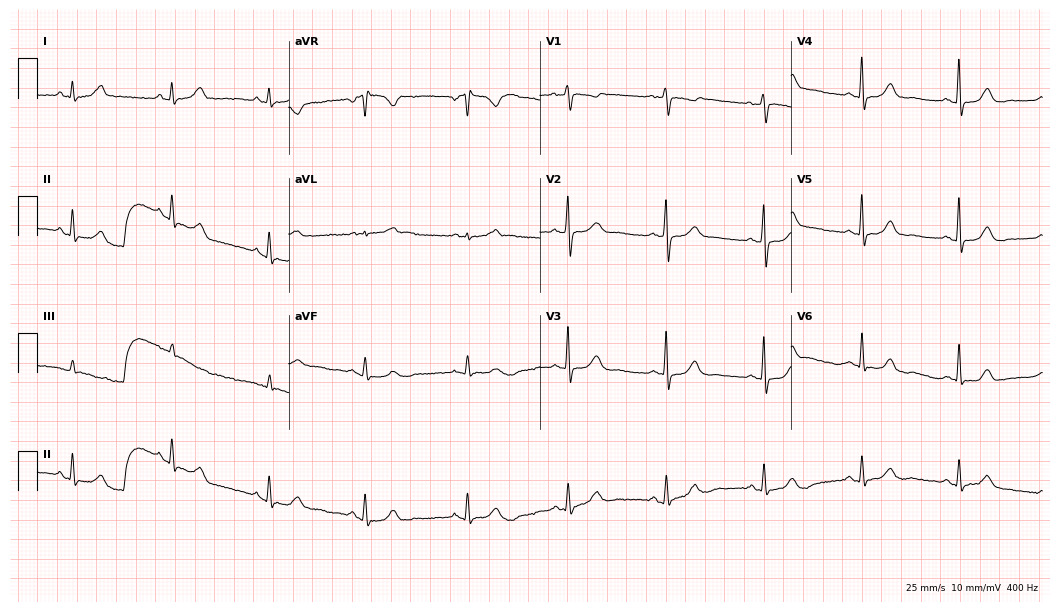
12-lead ECG from a female patient, 53 years old. Labelled as a normal ECG.